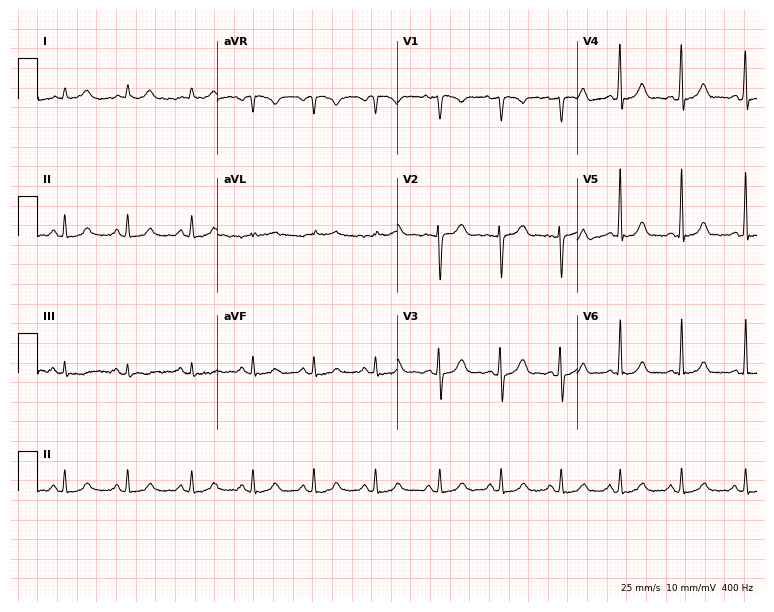
12-lead ECG from a female, 21 years old. No first-degree AV block, right bundle branch block, left bundle branch block, sinus bradycardia, atrial fibrillation or sinus tachycardia recorded for this tracing.